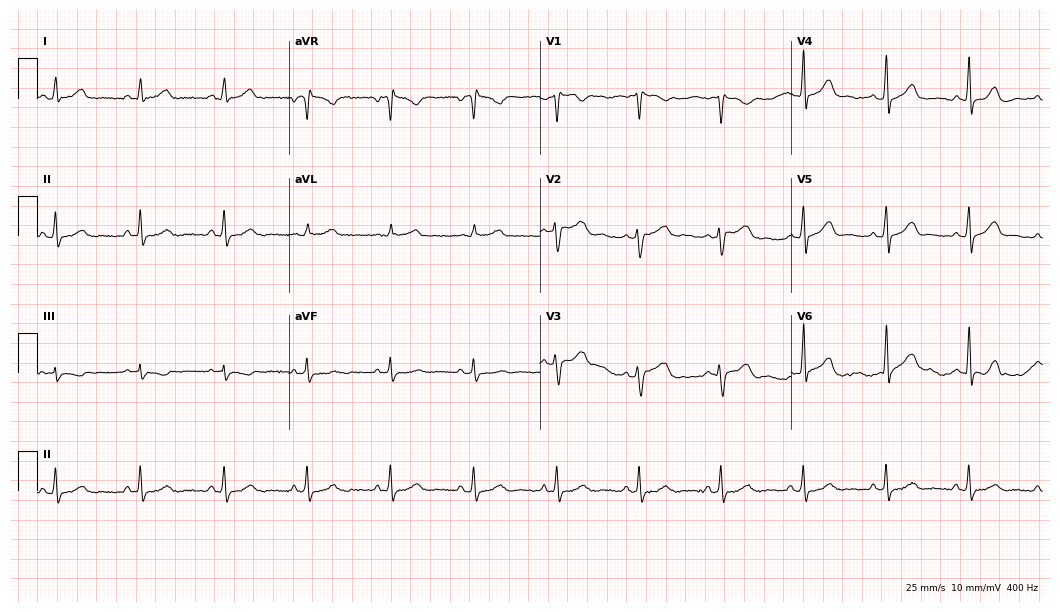
Standard 12-lead ECG recorded from a woman, 44 years old. Read as a normal ECG.